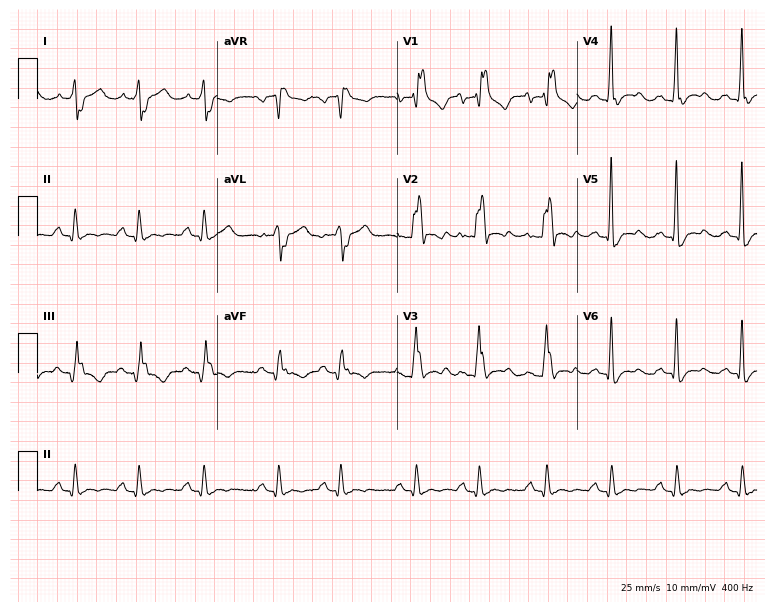
ECG (7.3-second recording at 400 Hz) — a male patient, 64 years old. Findings include right bundle branch block.